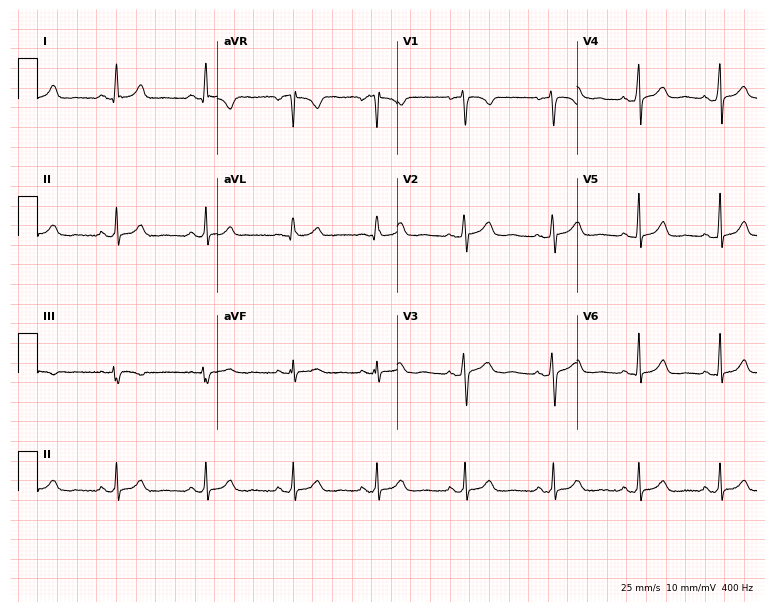
12-lead ECG from a female, 34 years old. Screened for six findings — first-degree AV block, right bundle branch block, left bundle branch block, sinus bradycardia, atrial fibrillation, sinus tachycardia — none is recorded.